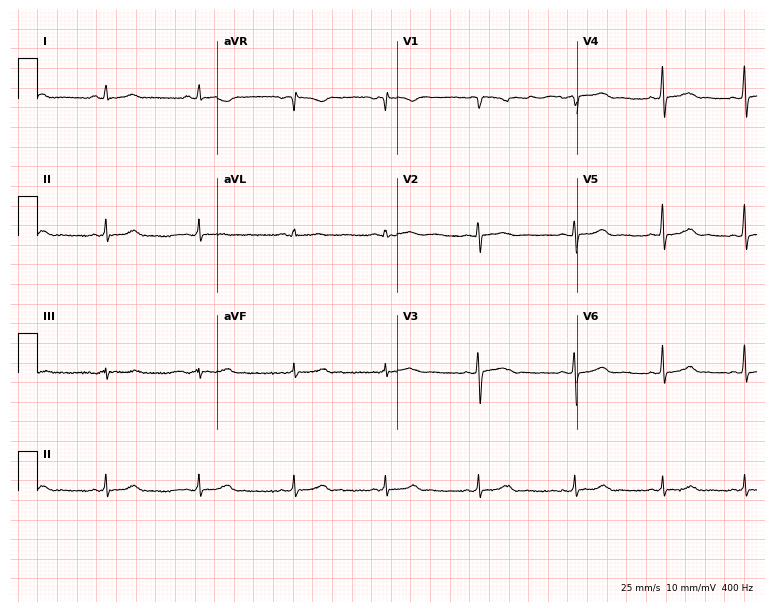
ECG (7.3-second recording at 400 Hz) — a 22-year-old female patient. Screened for six findings — first-degree AV block, right bundle branch block (RBBB), left bundle branch block (LBBB), sinus bradycardia, atrial fibrillation (AF), sinus tachycardia — none is recorded. Findings outside these six are not listed.